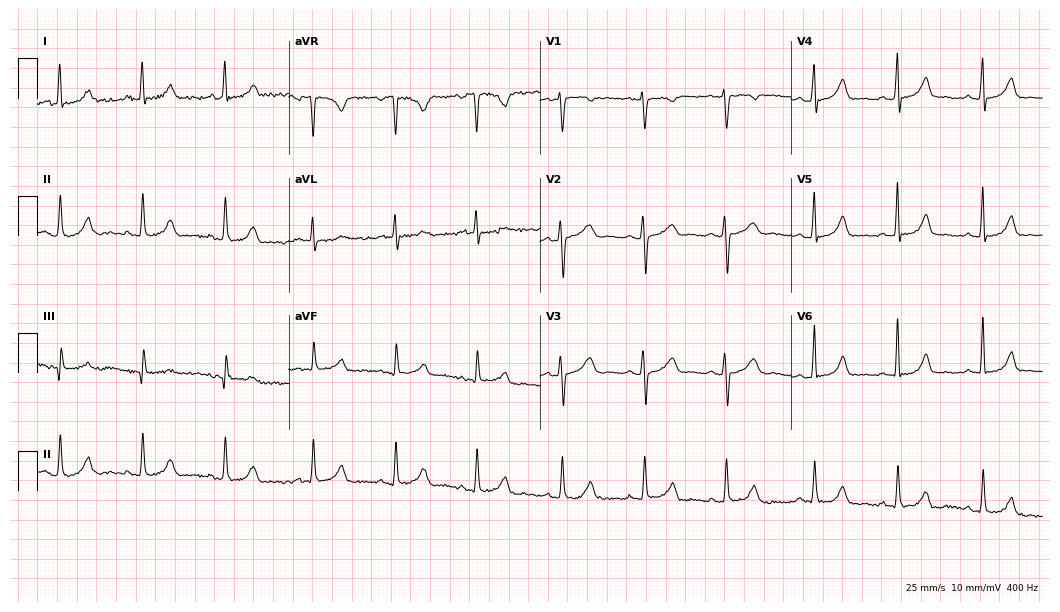
12-lead ECG from a 24-year-old woman. Recorded interpretation: within normal limits.